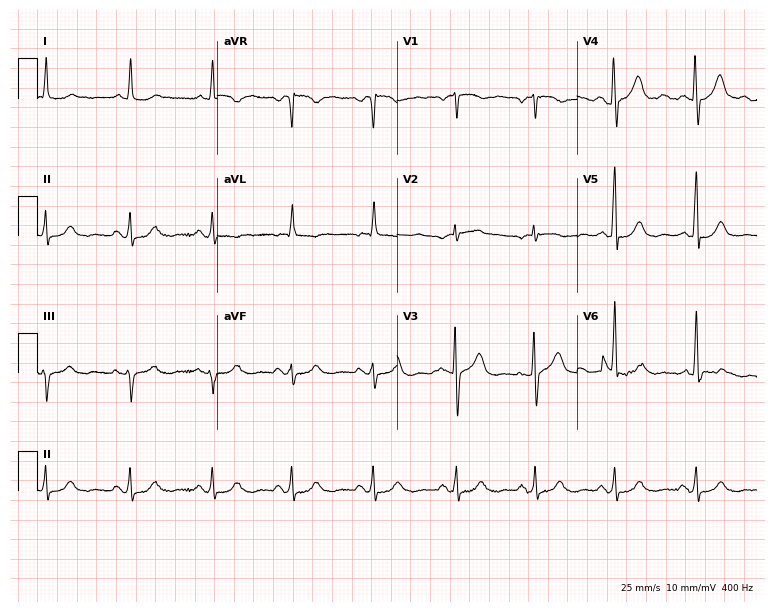
12-lead ECG (7.3-second recording at 400 Hz) from a woman, 75 years old. Screened for six findings — first-degree AV block, right bundle branch block (RBBB), left bundle branch block (LBBB), sinus bradycardia, atrial fibrillation (AF), sinus tachycardia — none is recorded.